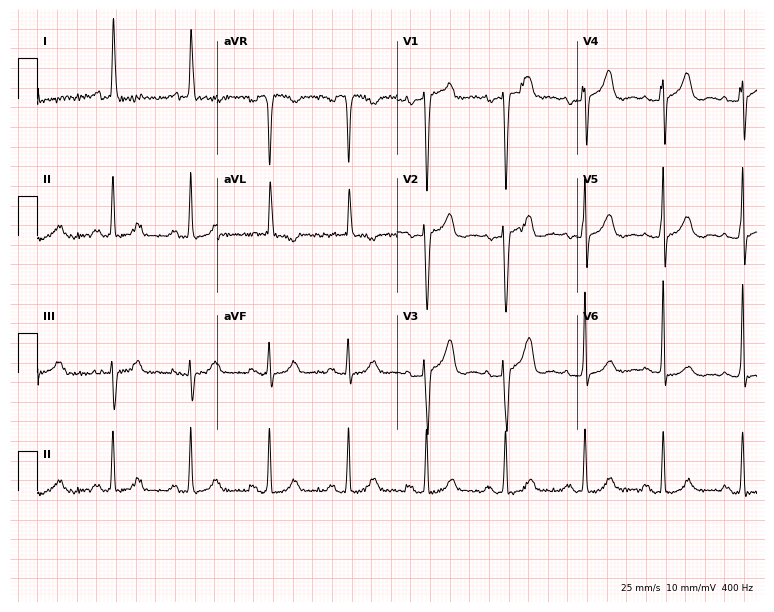
Standard 12-lead ECG recorded from an 85-year-old woman. None of these six findings is recorded: first-degree AV block, right bundle branch block (RBBB), left bundle branch block (LBBB), sinus bradycardia, atrial fibrillation (AF), sinus tachycardia. Findings outside these six are not listed.